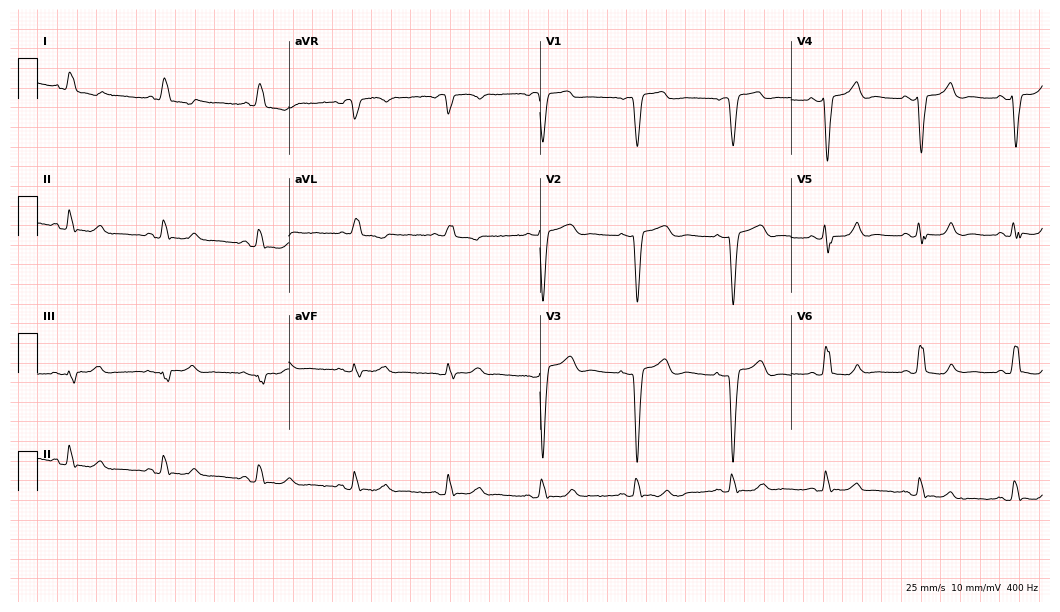
12-lead ECG (10.2-second recording at 400 Hz) from a female, 84 years old. Findings include left bundle branch block.